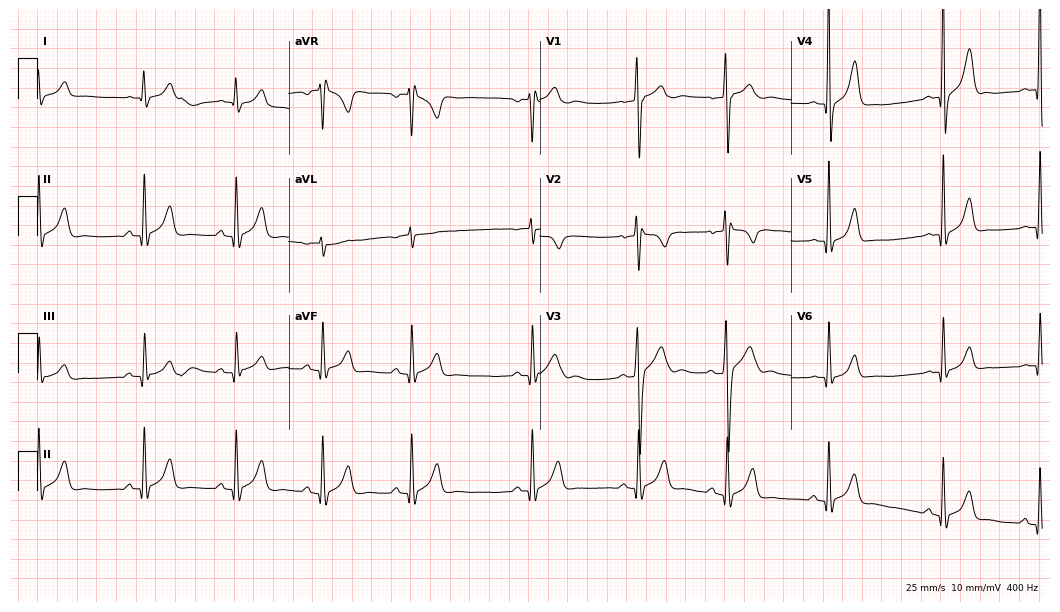
Electrocardiogram, a male patient, 17 years old. Overall reading on record: normal ECG.